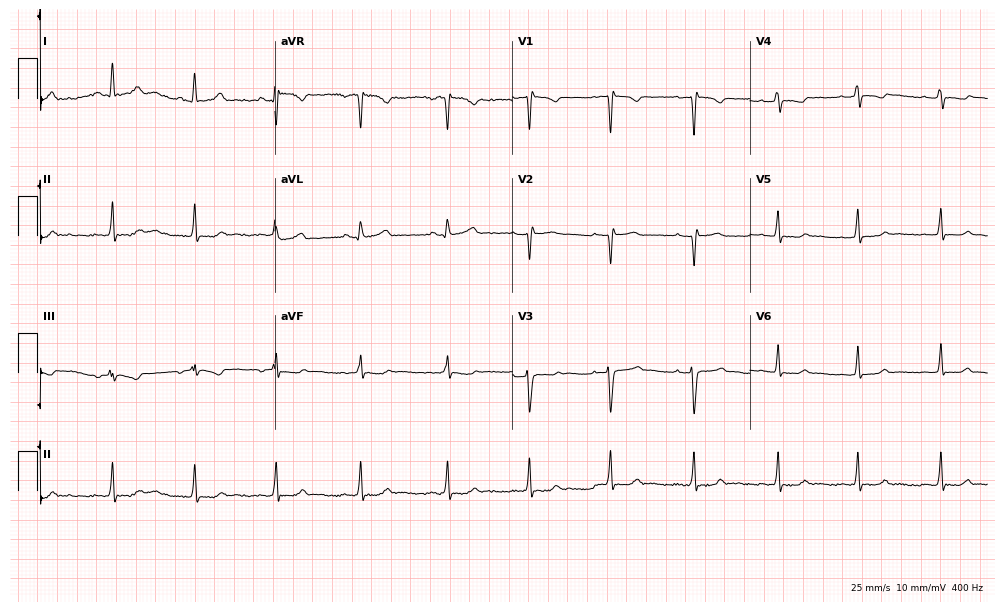
Electrocardiogram (9.7-second recording at 400 Hz), a female patient, 29 years old. Of the six screened findings (first-degree AV block, right bundle branch block, left bundle branch block, sinus bradycardia, atrial fibrillation, sinus tachycardia), none is recorded. Only these six findings were labelled.